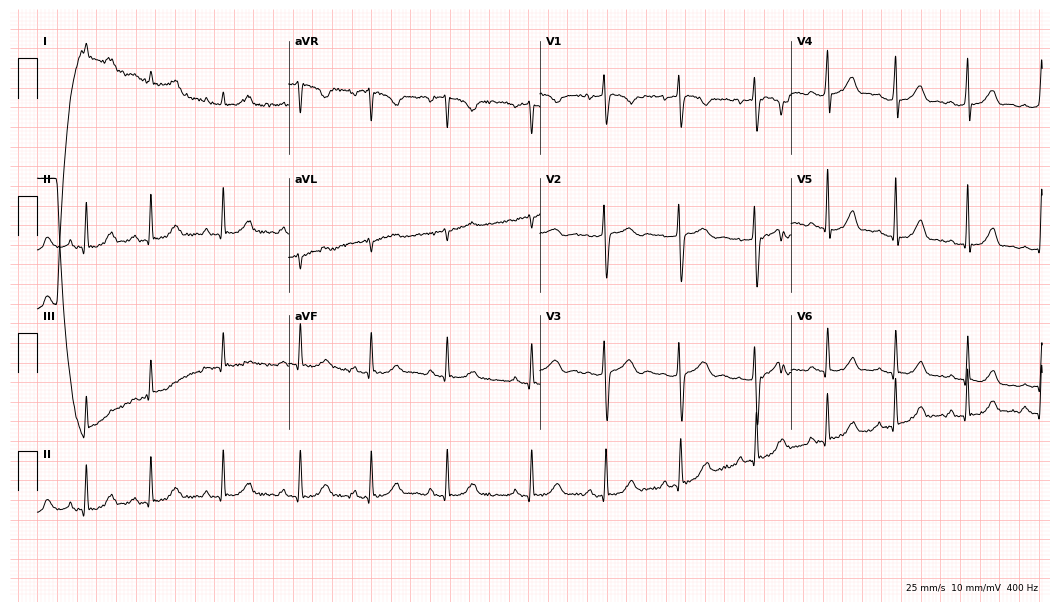
Standard 12-lead ECG recorded from a 23-year-old female (10.2-second recording at 400 Hz). None of these six findings is recorded: first-degree AV block, right bundle branch block, left bundle branch block, sinus bradycardia, atrial fibrillation, sinus tachycardia.